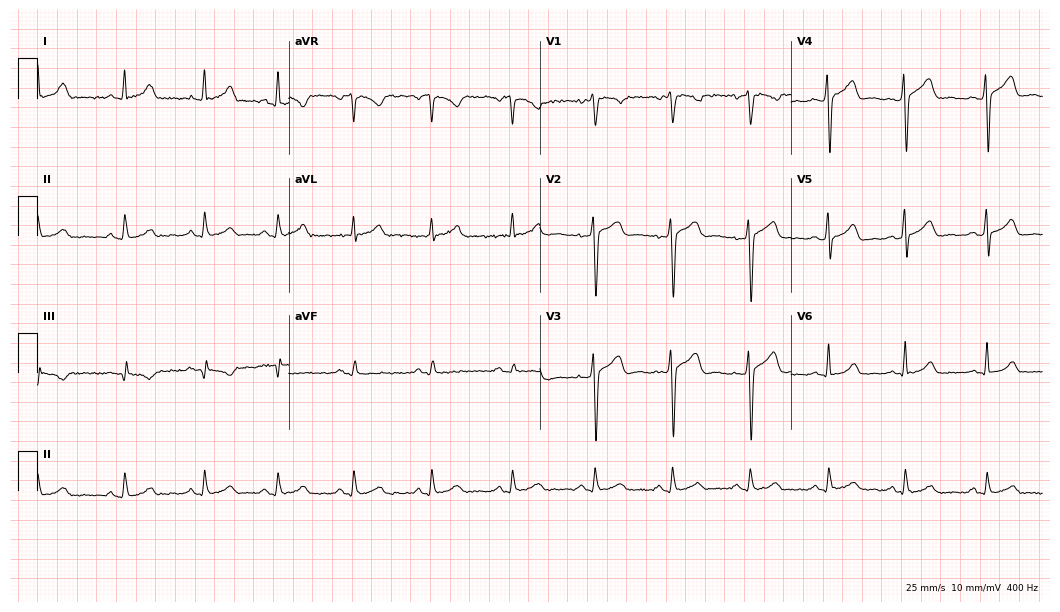
Resting 12-lead electrocardiogram (10.2-second recording at 400 Hz). Patient: a 42-year-old man. Read as a normal ECG.